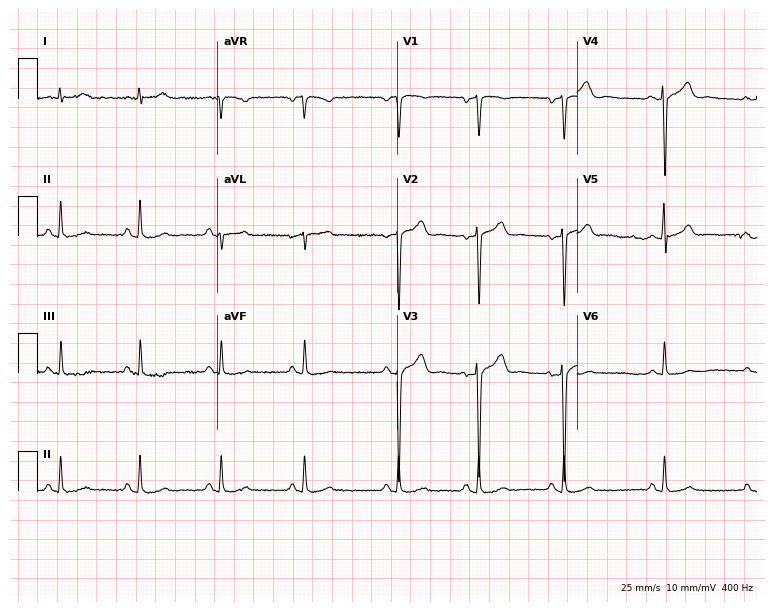
12-lead ECG from a male patient, 57 years old (7.3-second recording at 400 Hz). Recorded interpretation: within normal limits.